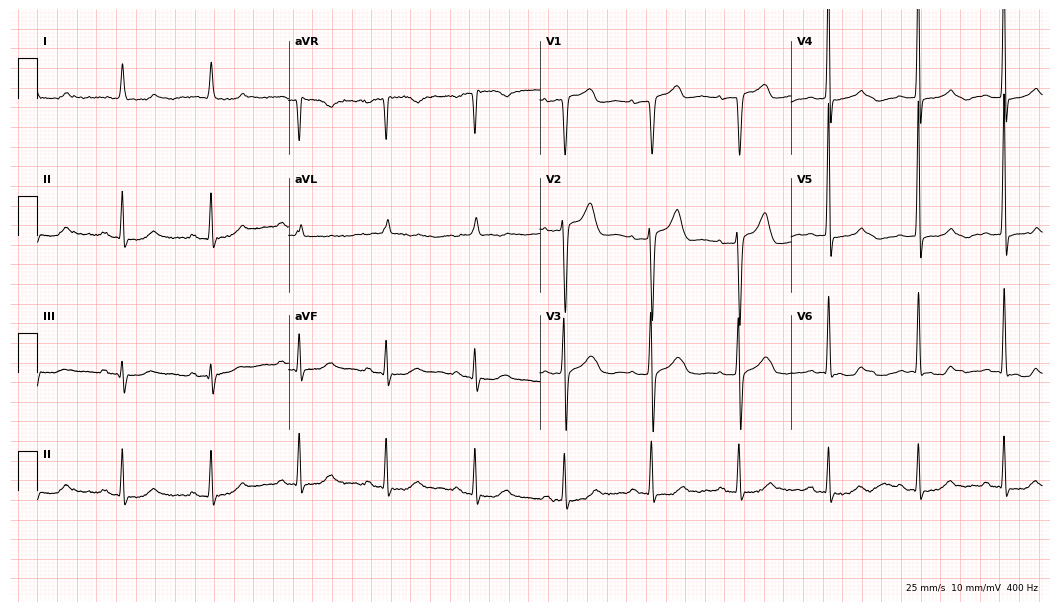
ECG — an 84-year-old woman. Screened for six findings — first-degree AV block, right bundle branch block, left bundle branch block, sinus bradycardia, atrial fibrillation, sinus tachycardia — none is recorded. Only these six findings were labelled.